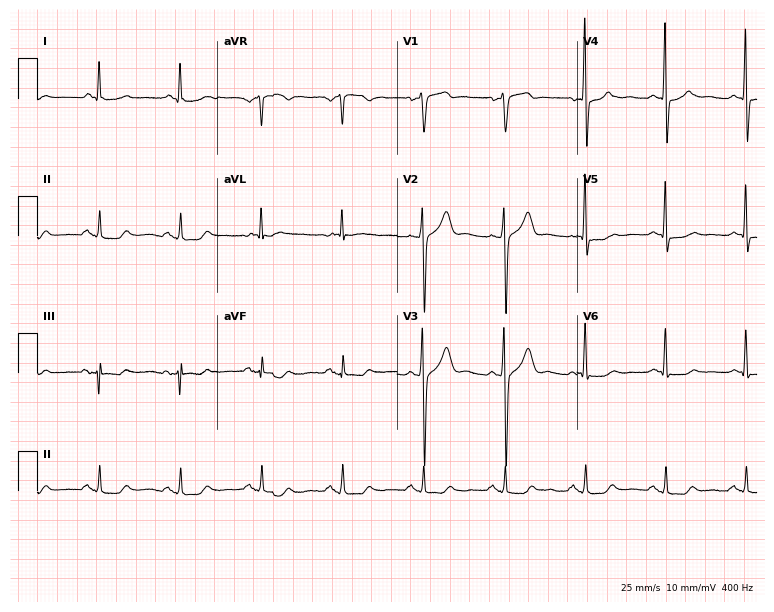
12-lead ECG from a 79-year-old male patient. Screened for six findings — first-degree AV block, right bundle branch block, left bundle branch block, sinus bradycardia, atrial fibrillation, sinus tachycardia — none is recorded. Only these six findings were labelled.